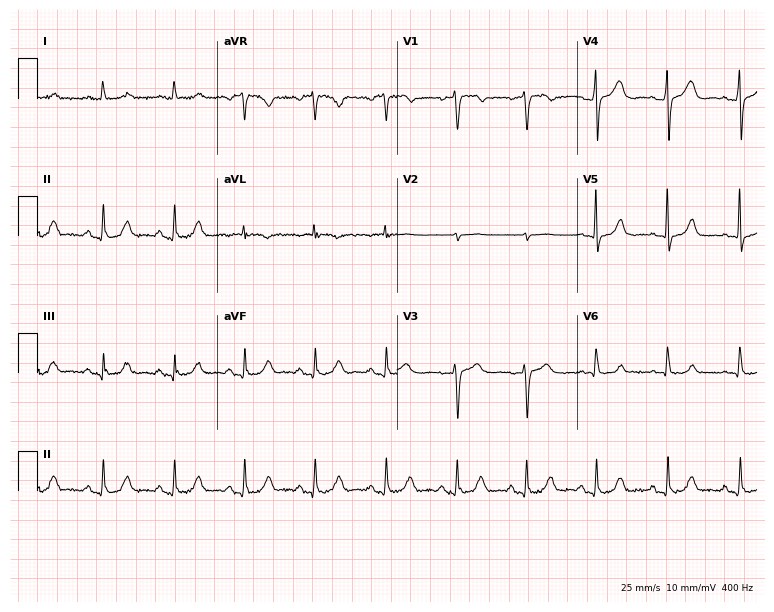
12-lead ECG from a woman, 56 years old. Labelled as a normal ECG.